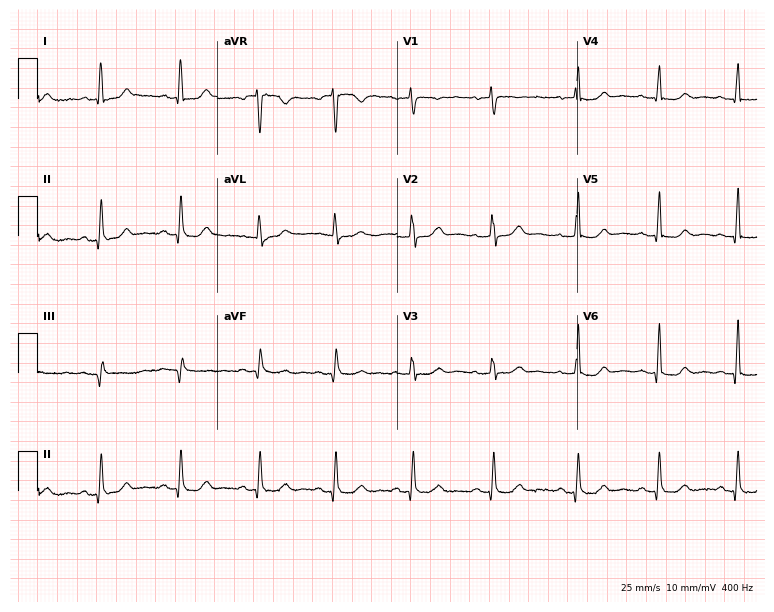
12-lead ECG from a female patient, 45 years old. Labelled as a normal ECG.